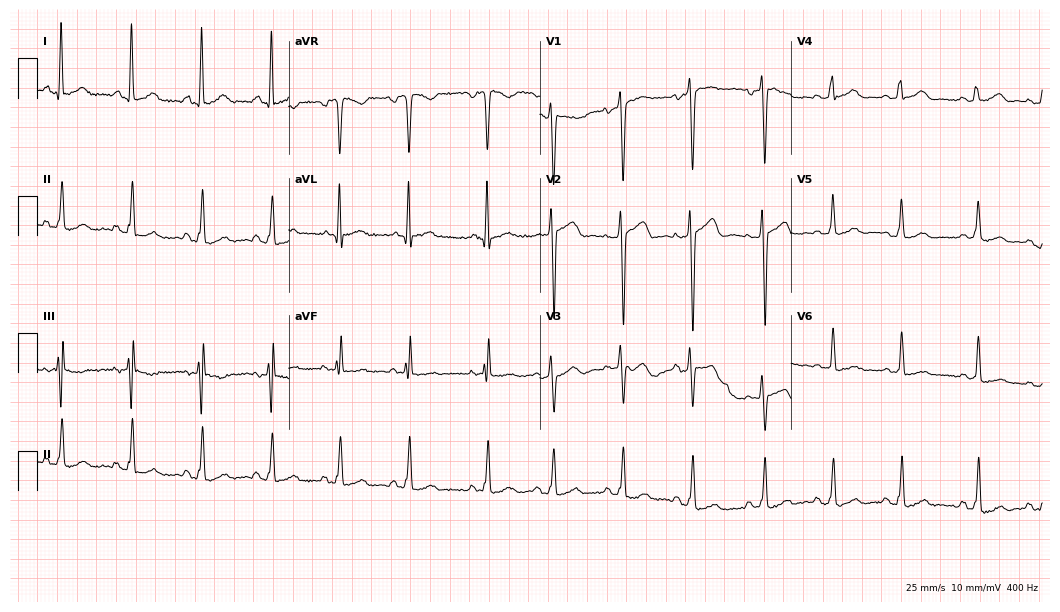
Electrocardiogram, a male, 21 years old. Overall reading on record: normal ECG.